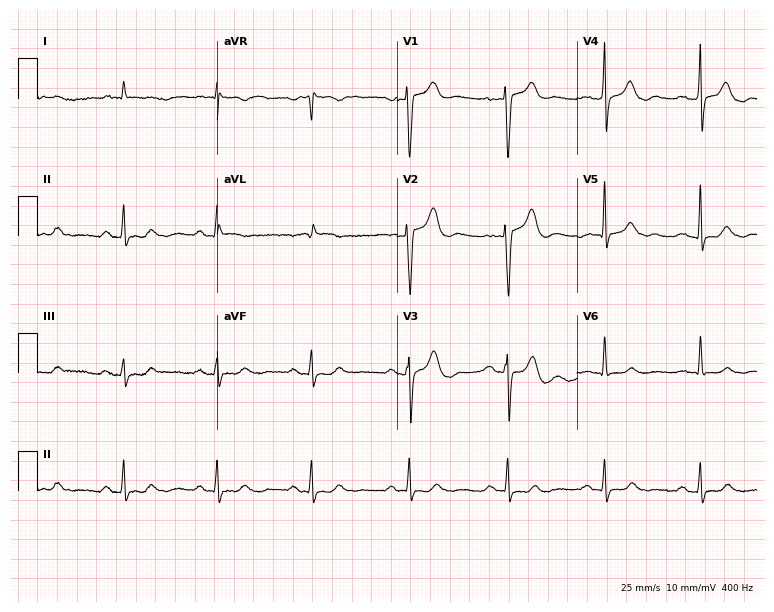
Electrocardiogram, a man, 70 years old. Of the six screened findings (first-degree AV block, right bundle branch block, left bundle branch block, sinus bradycardia, atrial fibrillation, sinus tachycardia), none is recorded. Only these six findings were labelled.